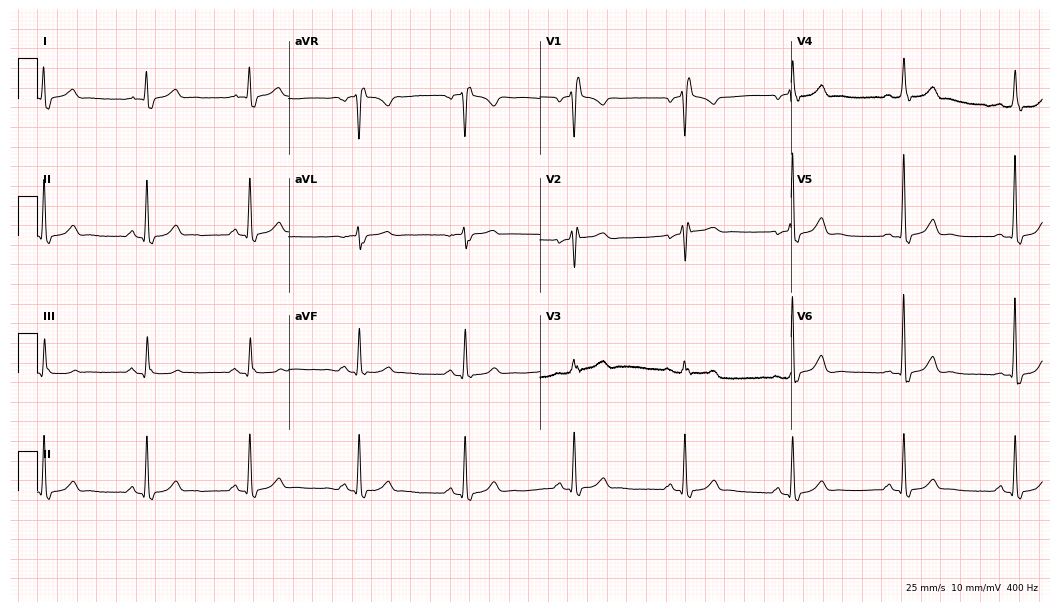
12-lead ECG (10.2-second recording at 400 Hz) from a 69-year-old male. Findings include right bundle branch block (RBBB).